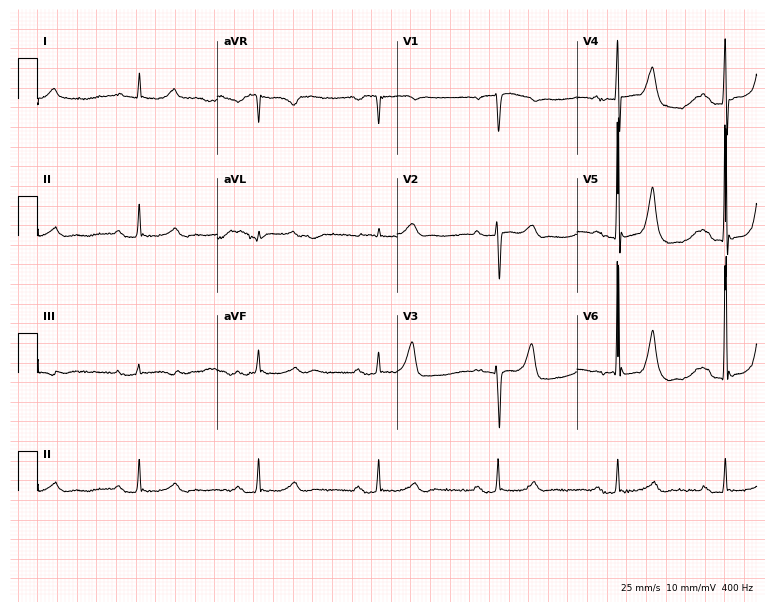
12-lead ECG from a male, 85 years old. Shows first-degree AV block, sinus bradycardia (a sinus rate of 50 beats per minute or less).